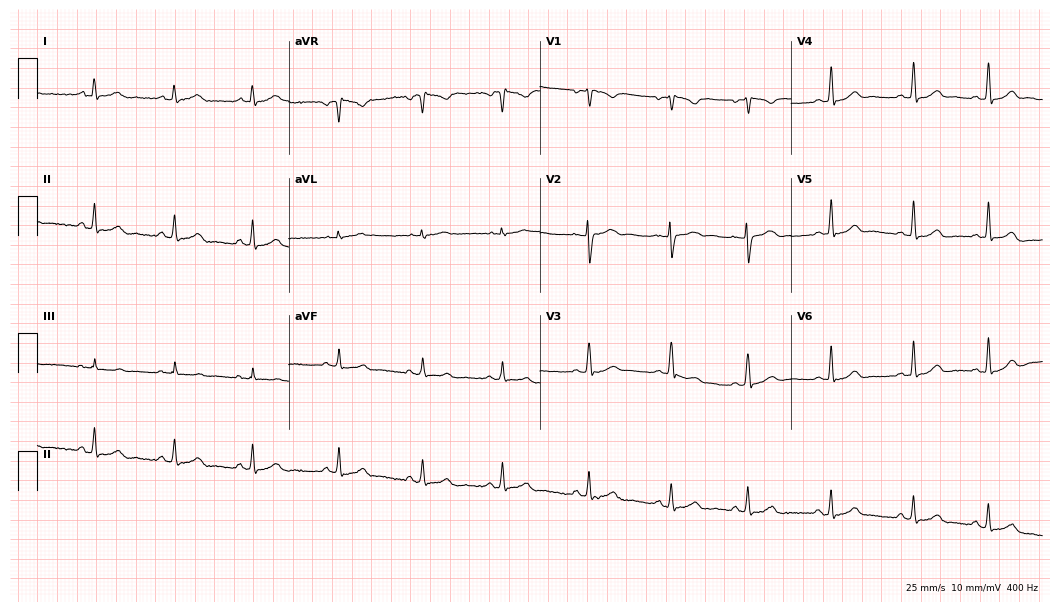
12-lead ECG (10.2-second recording at 400 Hz) from a 19-year-old female patient. Labelled as a normal ECG.